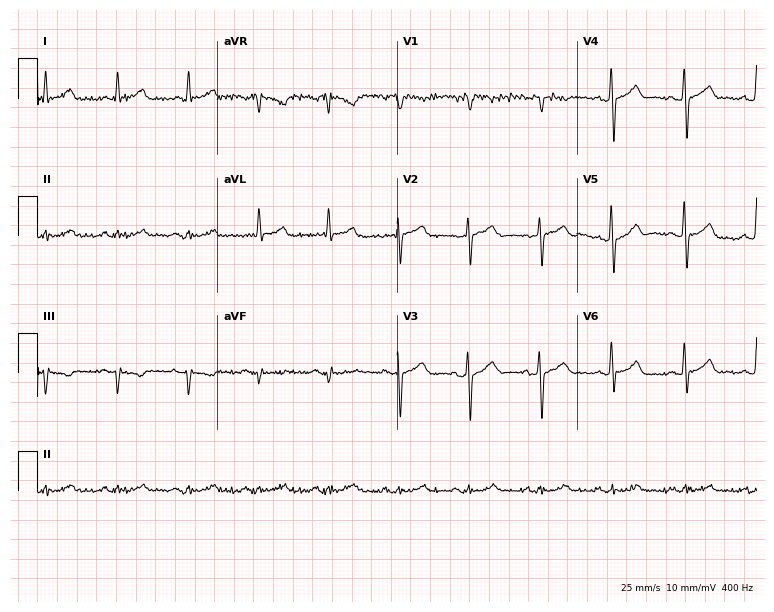
Standard 12-lead ECG recorded from a 68-year-old male patient. Read as a normal ECG.